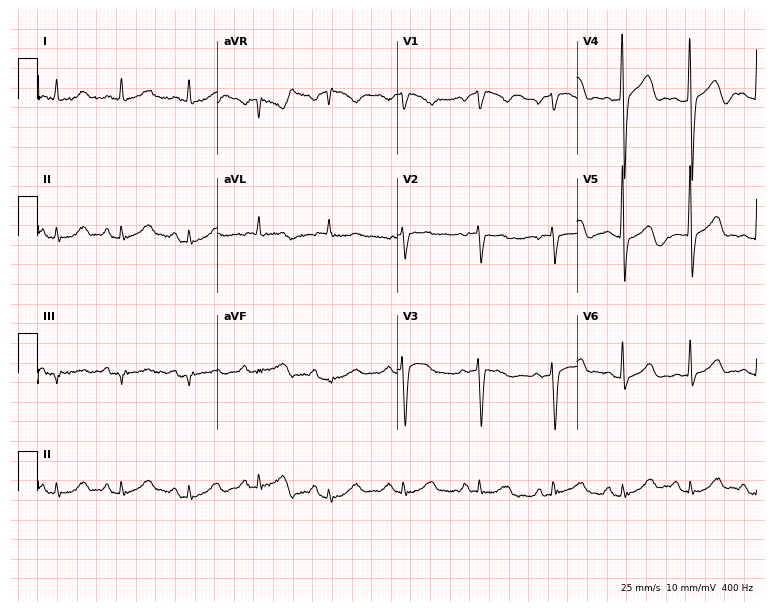
Resting 12-lead electrocardiogram (7.3-second recording at 400 Hz). Patient: a male, 62 years old. Read as a normal ECG.